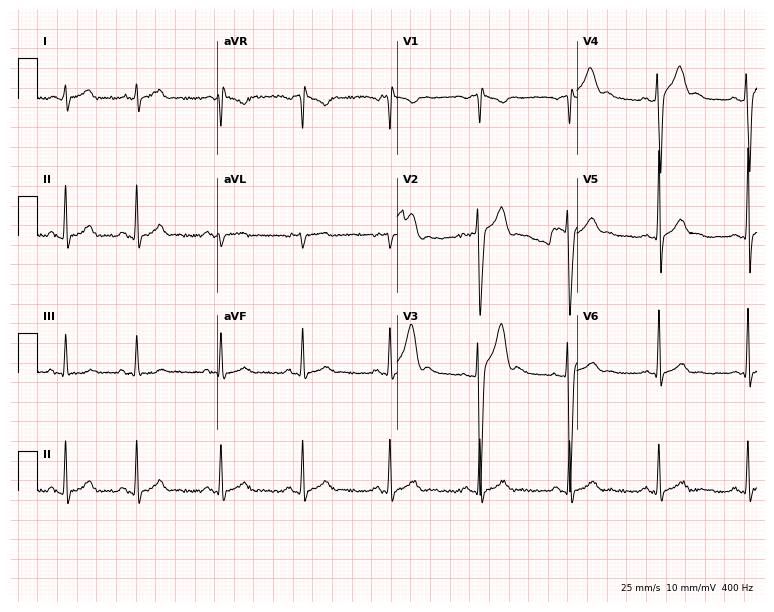
Standard 12-lead ECG recorded from a 24-year-old male patient. Read as a normal ECG.